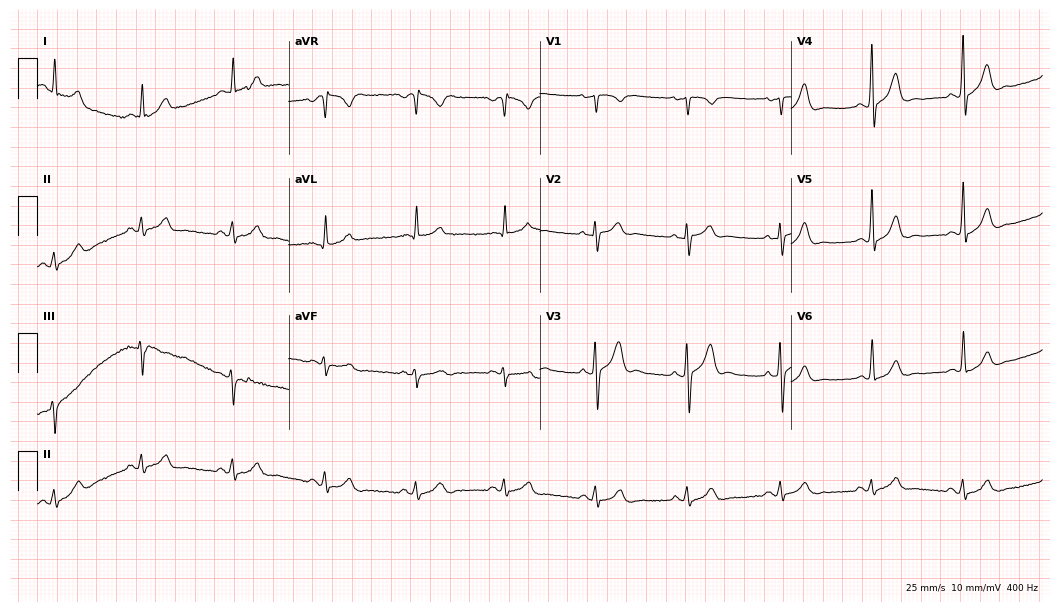
12-lead ECG from a male, 38 years old (10.2-second recording at 400 Hz). Recorded interpretation: within normal limits.